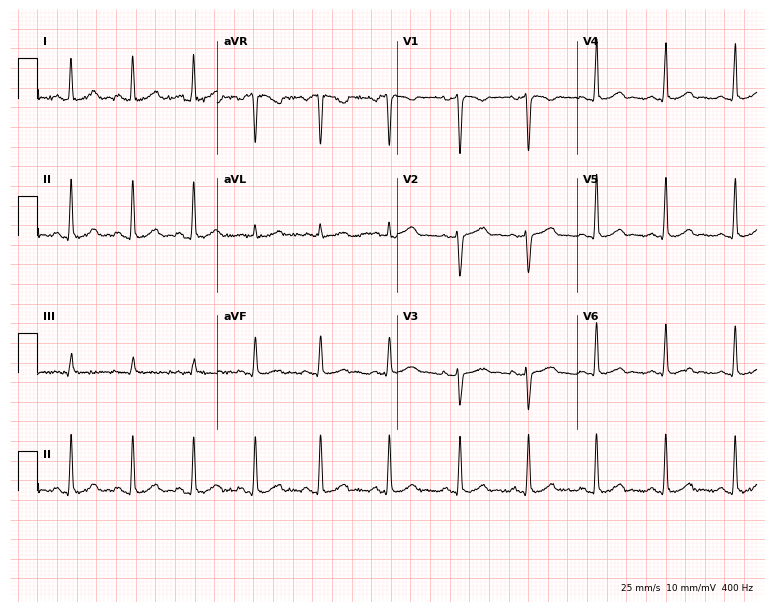
12-lead ECG from a 29-year-old female. No first-degree AV block, right bundle branch block, left bundle branch block, sinus bradycardia, atrial fibrillation or sinus tachycardia recorded for this tracing.